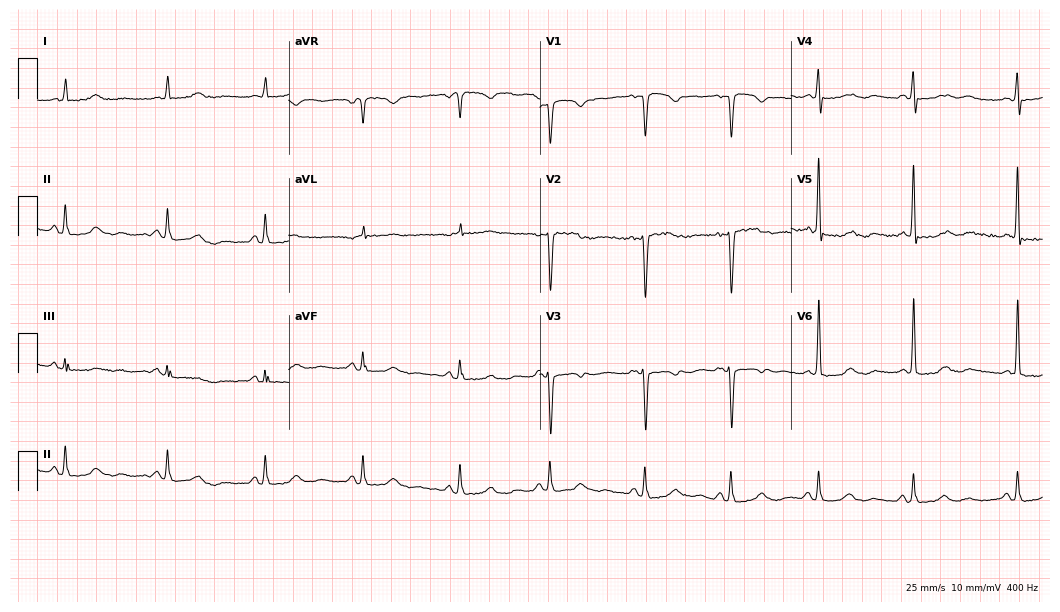
ECG (10.2-second recording at 400 Hz) — a 66-year-old woman. Screened for six findings — first-degree AV block, right bundle branch block, left bundle branch block, sinus bradycardia, atrial fibrillation, sinus tachycardia — none is recorded. Only these six findings were labelled.